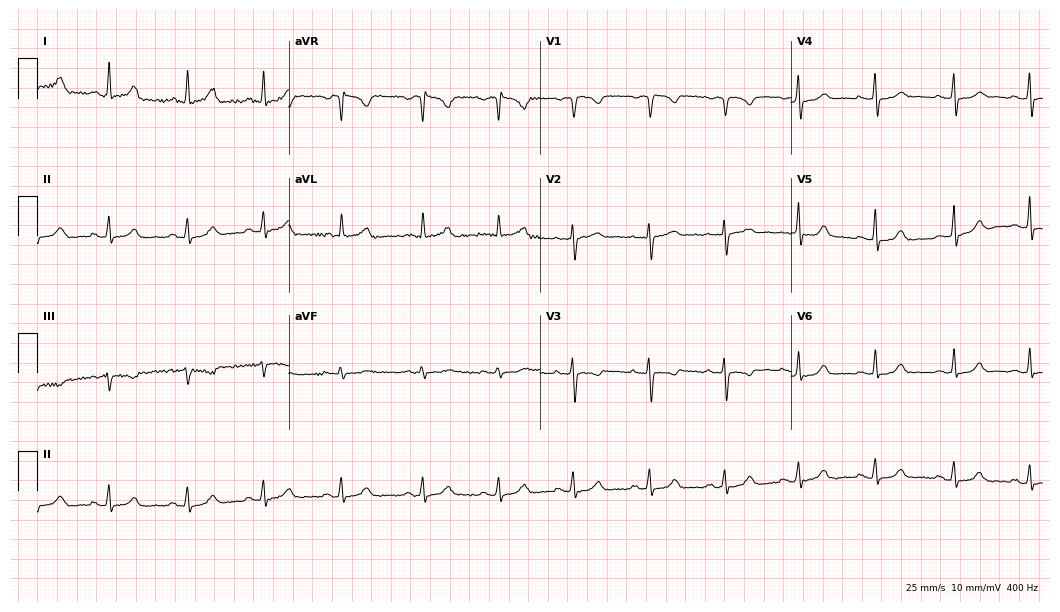
Electrocardiogram (10.2-second recording at 400 Hz), a female patient, 44 years old. Overall reading on record: normal ECG.